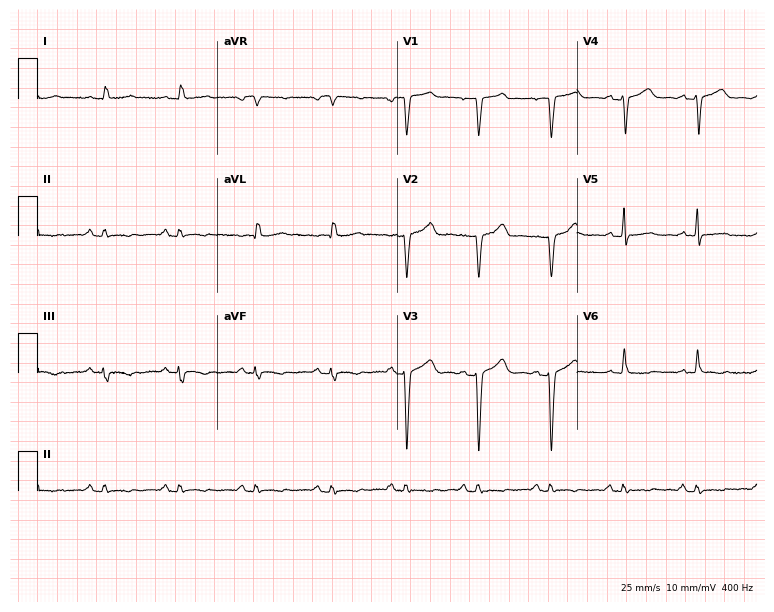
Resting 12-lead electrocardiogram (7.3-second recording at 400 Hz). Patient: a 51-year-old female. None of these six findings is recorded: first-degree AV block, right bundle branch block (RBBB), left bundle branch block (LBBB), sinus bradycardia, atrial fibrillation (AF), sinus tachycardia. Only these six findings were labelled.